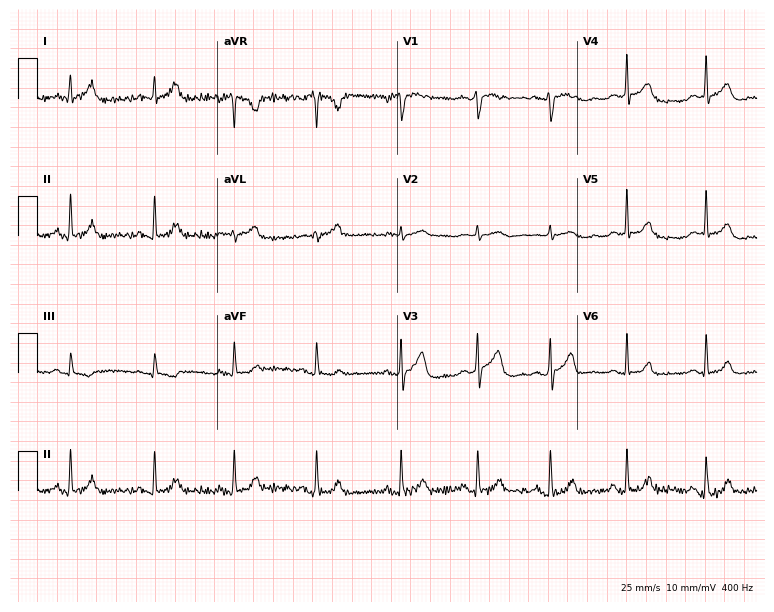
Standard 12-lead ECG recorded from a female patient, 20 years old (7.3-second recording at 400 Hz). Read as a normal ECG.